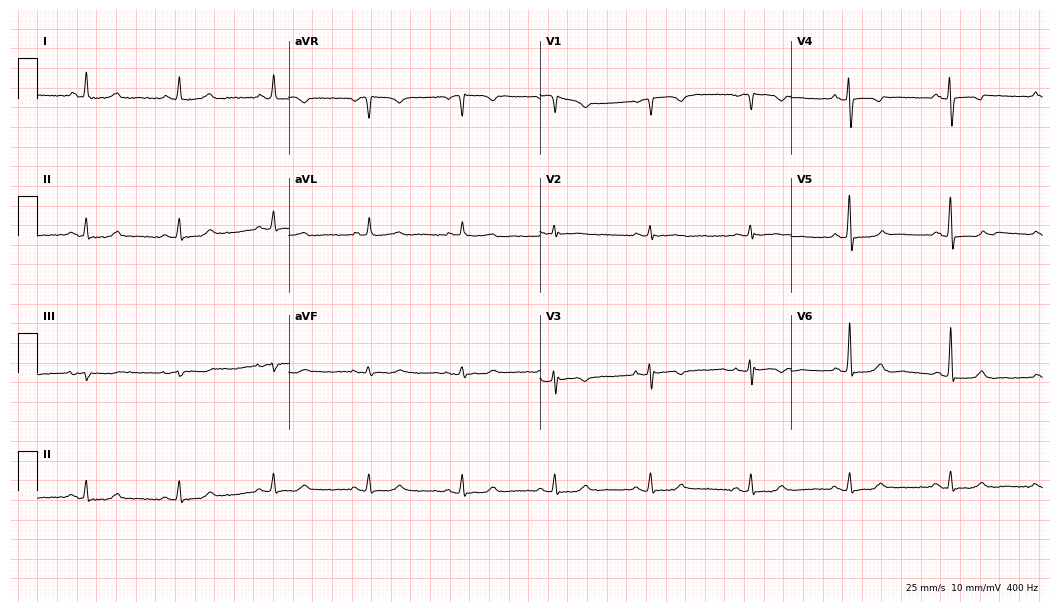
12-lead ECG from a female patient, 63 years old. Recorded interpretation: within normal limits.